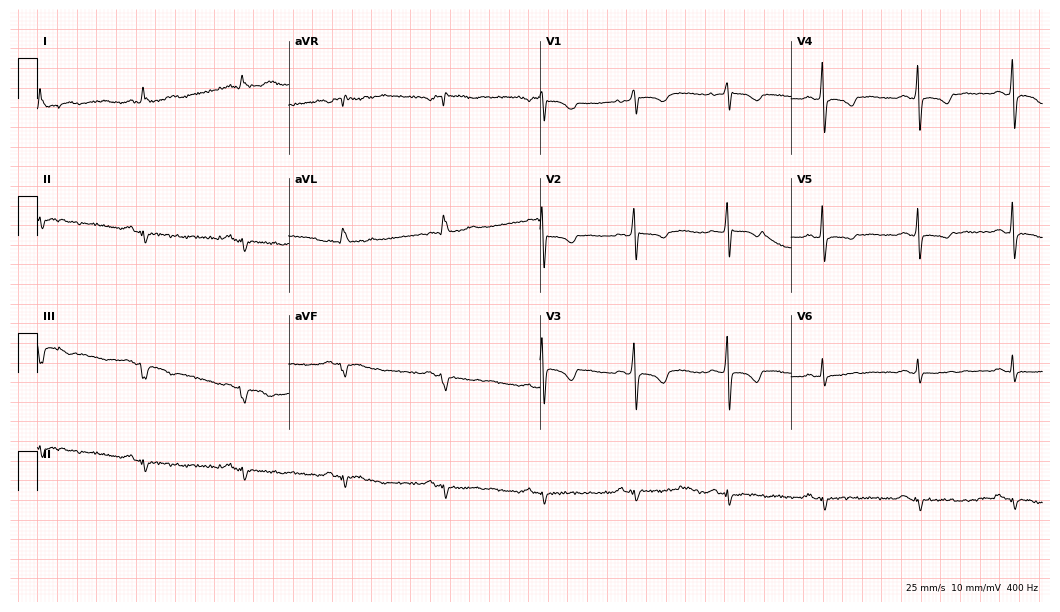
12-lead ECG from a man, 68 years old (10.2-second recording at 400 Hz). No first-degree AV block, right bundle branch block, left bundle branch block, sinus bradycardia, atrial fibrillation or sinus tachycardia recorded for this tracing. Findings outside these six are not listed.